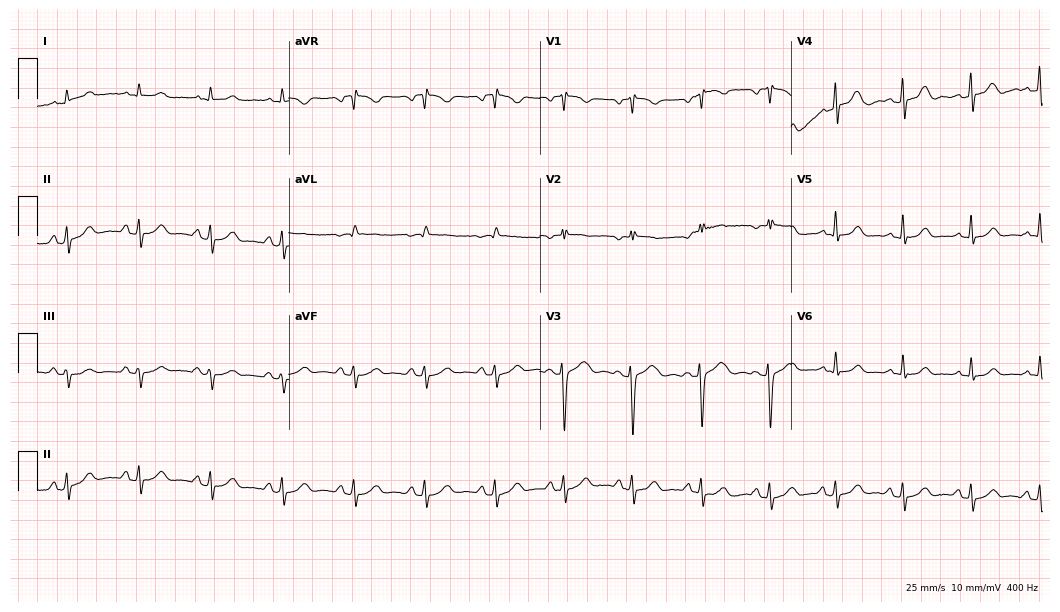
12-lead ECG from a 22-year-old female. Recorded interpretation: within normal limits.